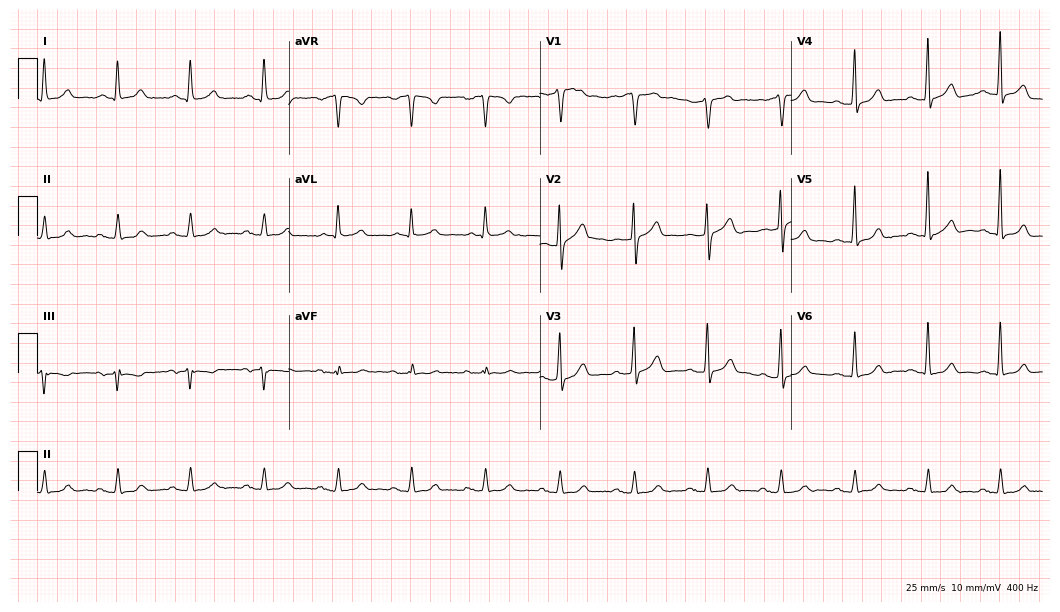
Resting 12-lead electrocardiogram. Patient: a 65-year-old male. Read as a normal ECG.